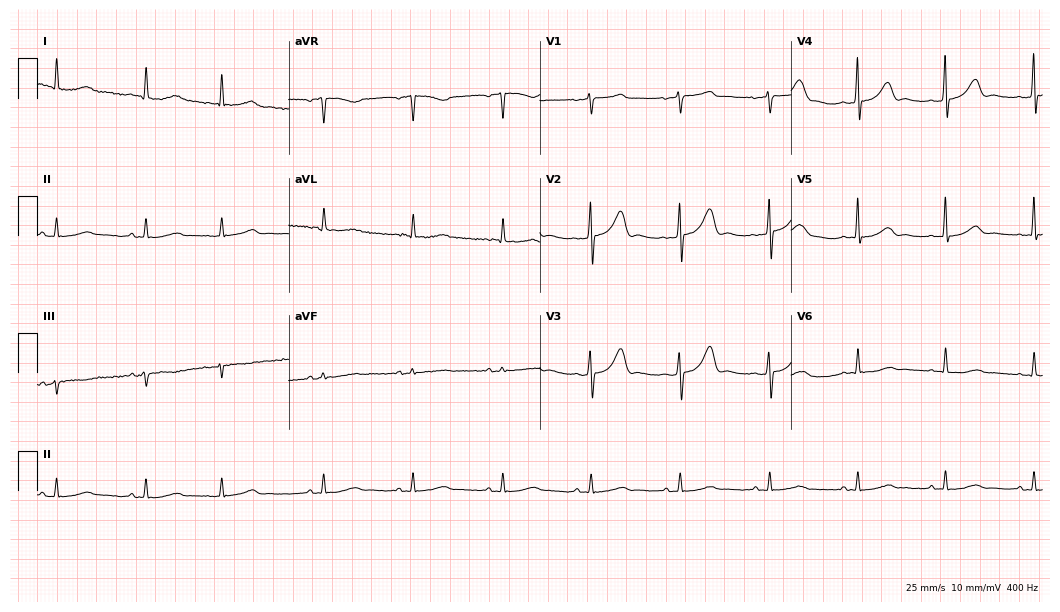
12-lead ECG from a 61-year-old female (10.2-second recording at 400 Hz). Recorded interpretation: within normal limits.